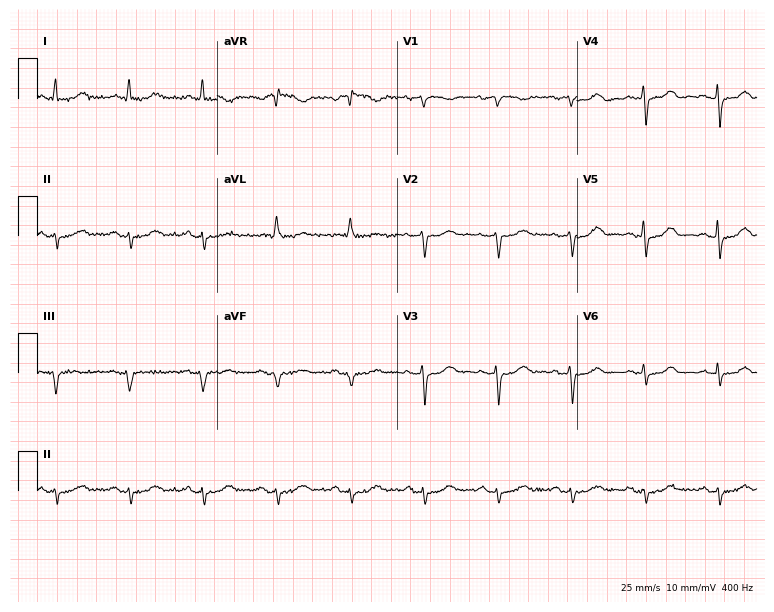
12-lead ECG from a female, 70 years old. Screened for six findings — first-degree AV block, right bundle branch block, left bundle branch block, sinus bradycardia, atrial fibrillation, sinus tachycardia — none is recorded. Only these six findings were labelled.